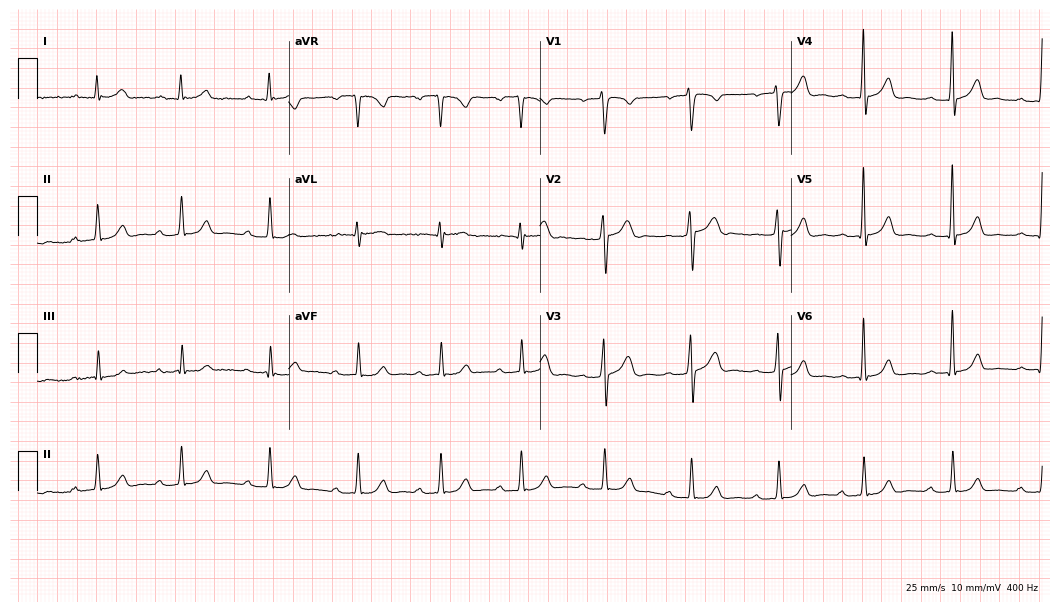
ECG (10.2-second recording at 400 Hz) — a man, 40 years old. Findings include first-degree AV block.